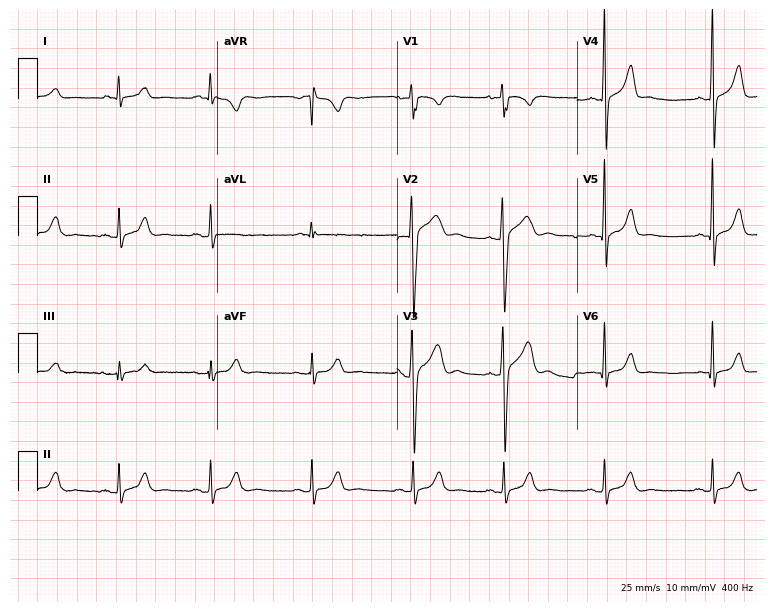
12-lead ECG from a male, 18 years old. Labelled as a normal ECG.